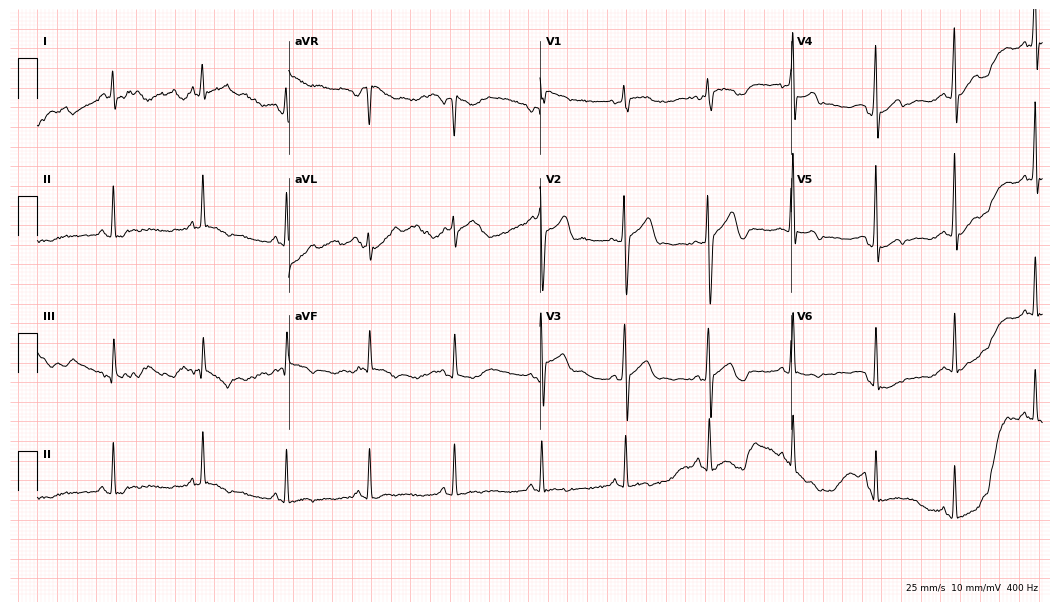
ECG (10.2-second recording at 400 Hz) — a man, 21 years old. Labelled as a normal ECG.